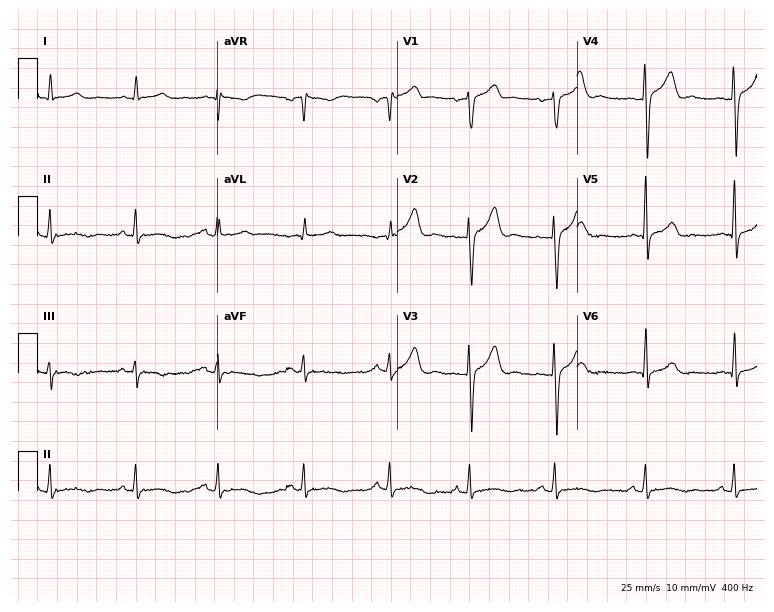
ECG — a 38-year-old male patient. Screened for six findings — first-degree AV block, right bundle branch block, left bundle branch block, sinus bradycardia, atrial fibrillation, sinus tachycardia — none is recorded. Other findings, if any, are not listed.